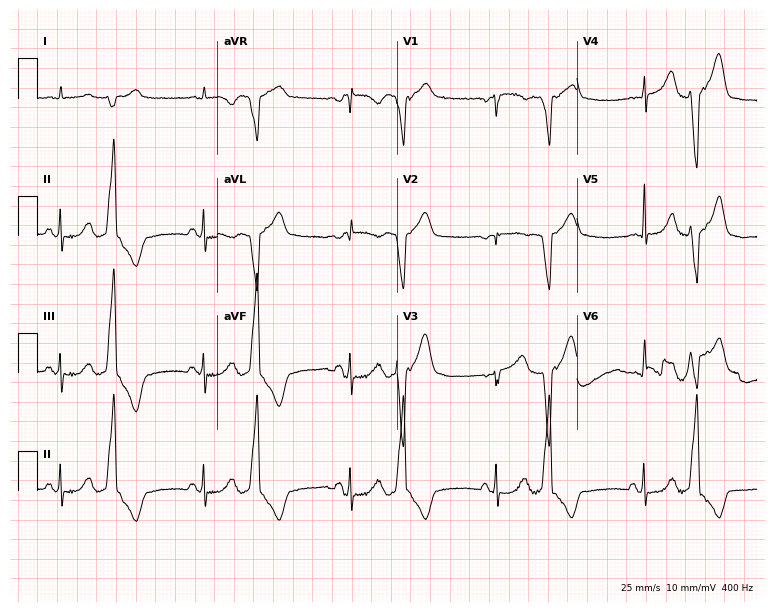
Resting 12-lead electrocardiogram (7.3-second recording at 400 Hz). Patient: a 30-year-old man. None of these six findings is recorded: first-degree AV block, right bundle branch block (RBBB), left bundle branch block (LBBB), sinus bradycardia, atrial fibrillation (AF), sinus tachycardia. Only these six findings were labelled.